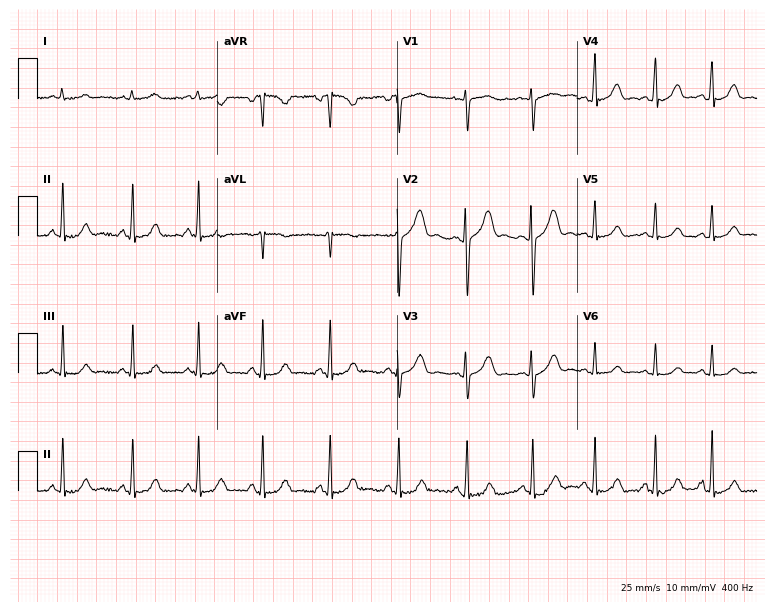
12-lead ECG from a female patient, 20 years old. Labelled as a normal ECG.